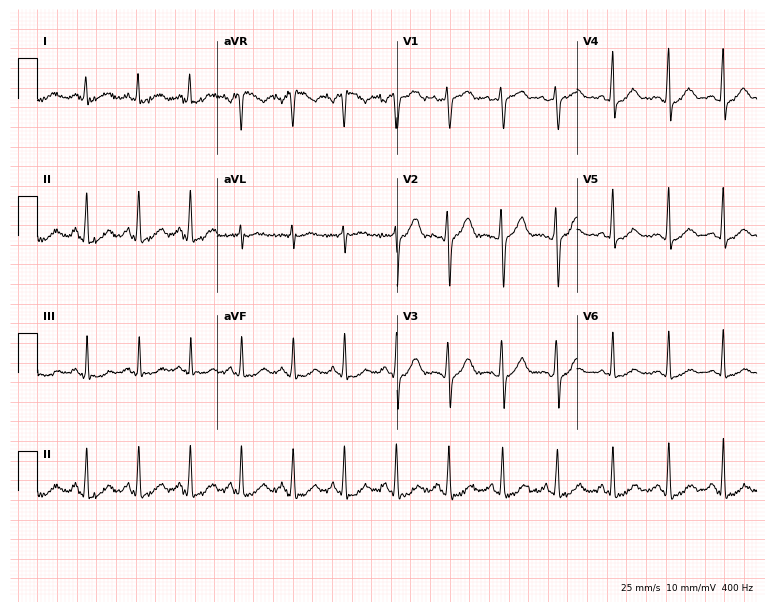
Resting 12-lead electrocardiogram. Patient: a 22-year-old female. The tracing shows sinus tachycardia (a sinus rate of 100 beats per minute or more).